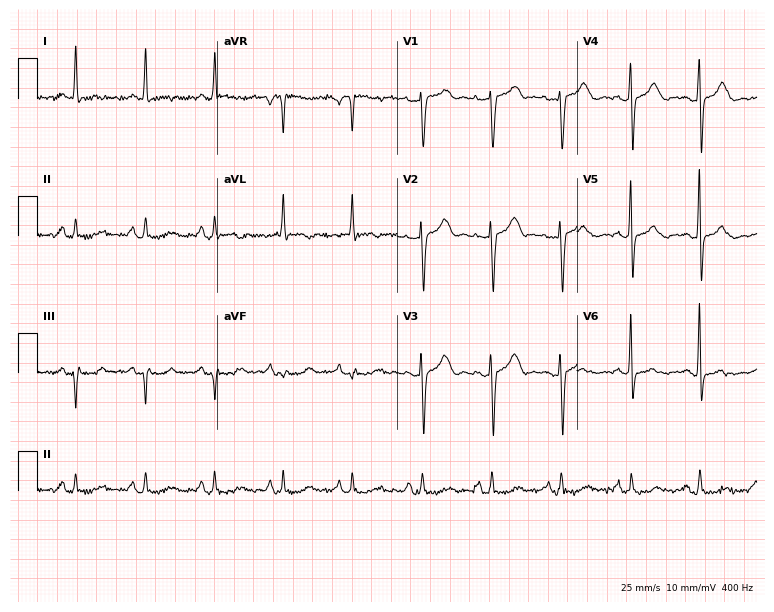
12-lead ECG from a female patient, 60 years old. Screened for six findings — first-degree AV block, right bundle branch block, left bundle branch block, sinus bradycardia, atrial fibrillation, sinus tachycardia — none is recorded.